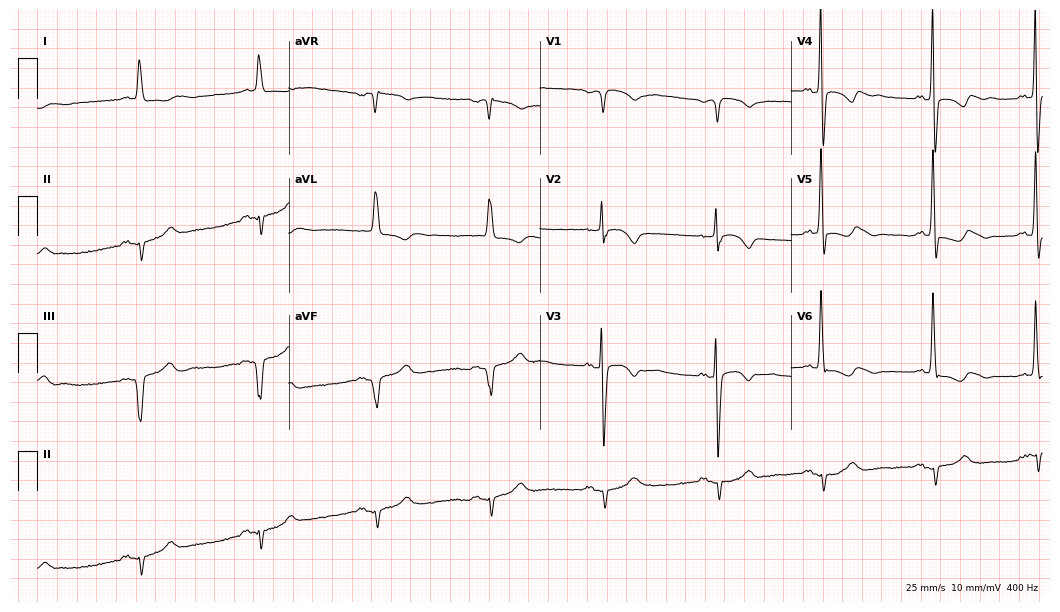
Electrocardiogram (10.2-second recording at 400 Hz), a 46-year-old male. Of the six screened findings (first-degree AV block, right bundle branch block, left bundle branch block, sinus bradycardia, atrial fibrillation, sinus tachycardia), none is recorded. Other findings, if any, are not listed.